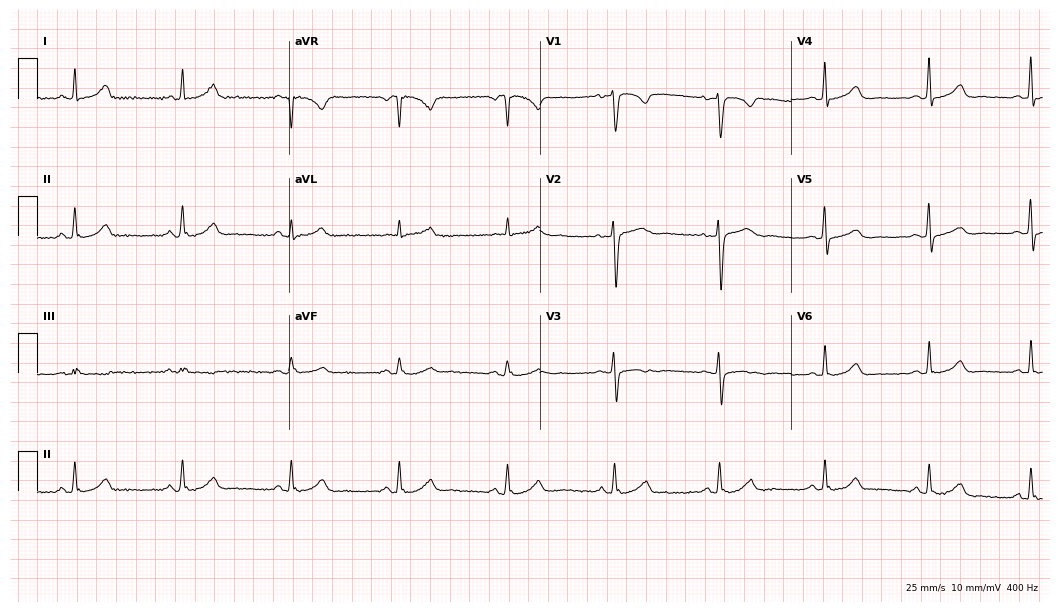
12-lead ECG (10.2-second recording at 400 Hz) from a woman, 56 years old. Labelled as a normal ECG.